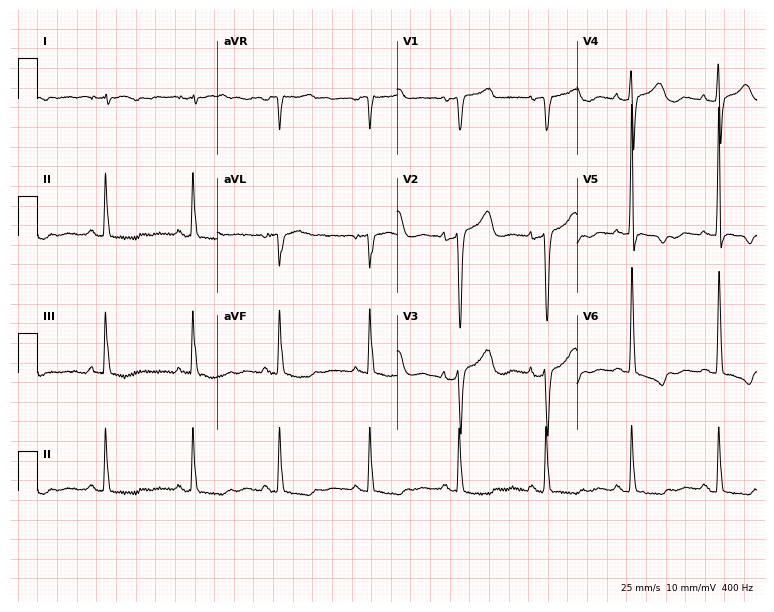
Resting 12-lead electrocardiogram (7.3-second recording at 400 Hz). Patient: a woman, 75 years old. None of these six findings is recorded: first-degree AV block, right bundle branch block (RBBB), left bundle branch block (LBBB), sinus bradycardia, atrial fibrillation (AF), sinus tachycardia.